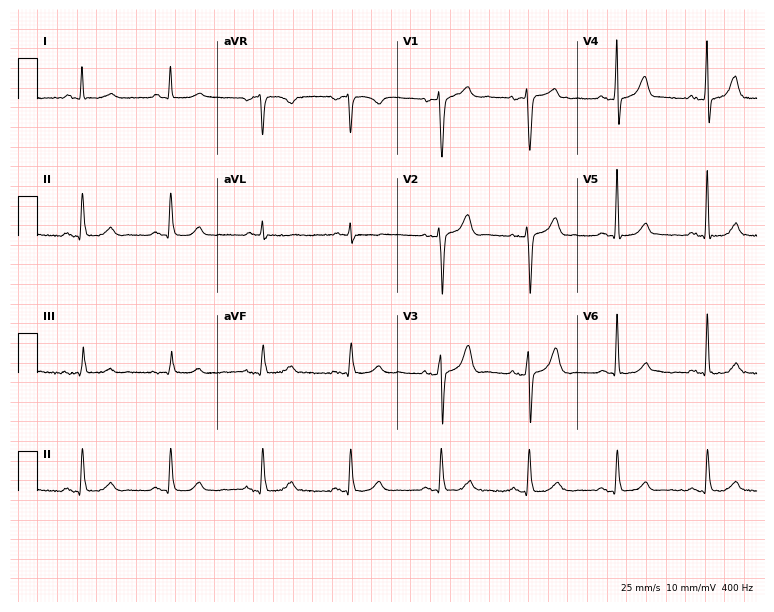
12-lead ECG from a 76-year-old male (7.3-second recording at 400 Hz). No first-degree AV block, right bundle branch block, left bundle branch block, sinus bradycardia, atrial fibrillation or sinus tachycardia recorded for this tracing.